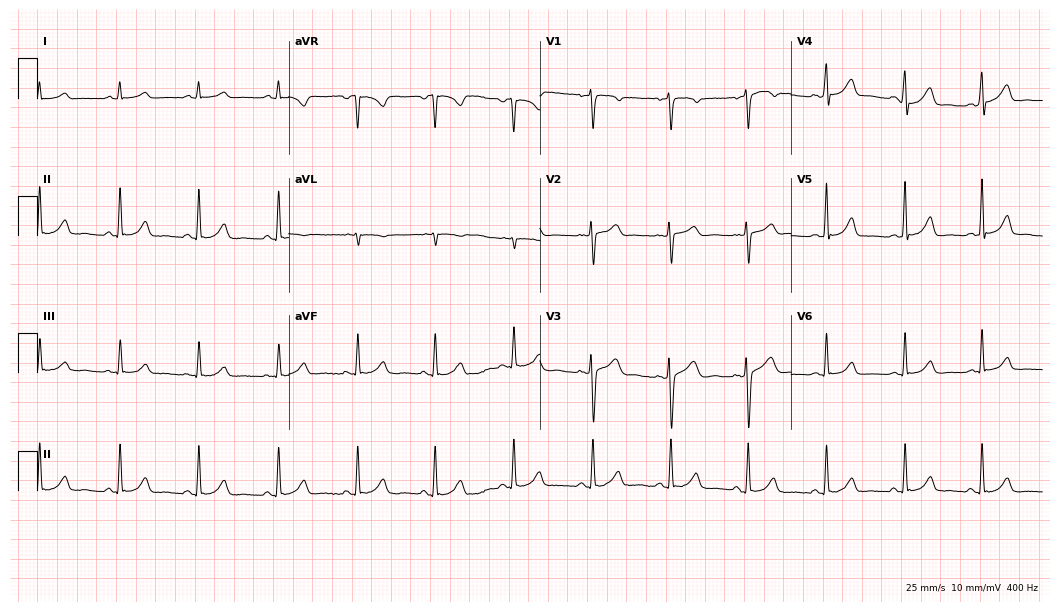
Resting 12-lead electrocardiogram (10.2-second recording at 400 Hz). Patient: a female, 39 years old. Read as a normal ECG.